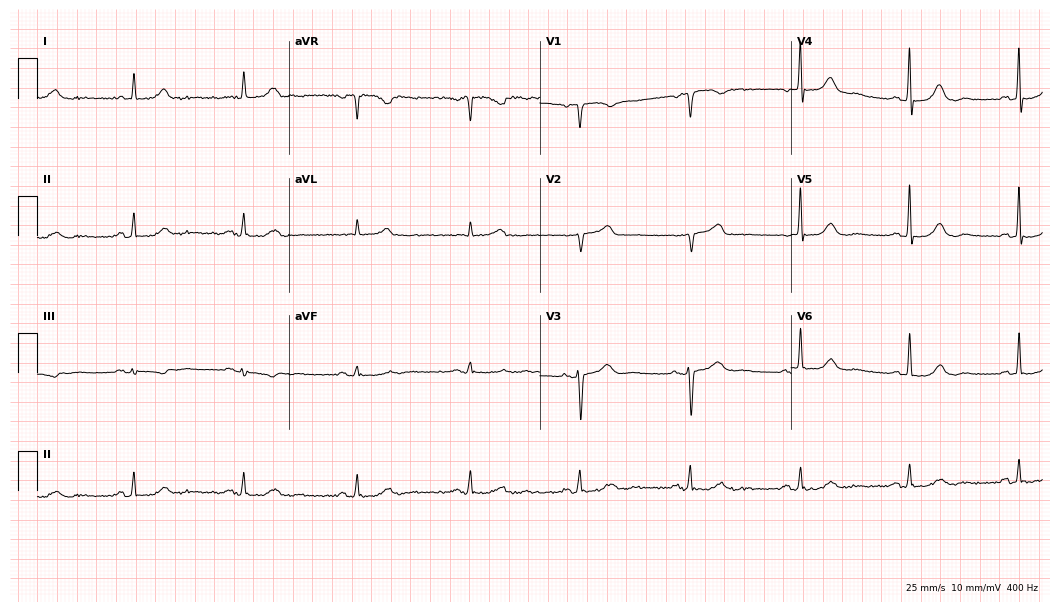
ECG — a woman, 70 years old. Labelled as a normal ECG.